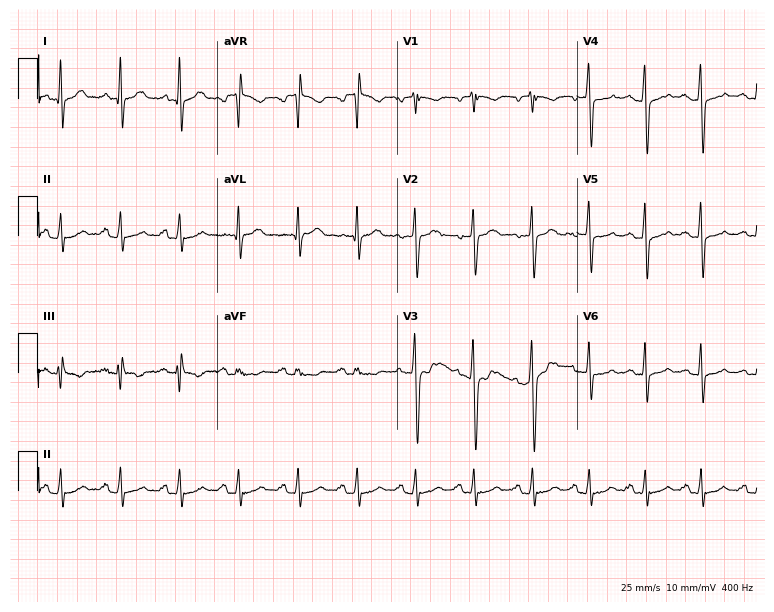
Resting 12-lead electrocardiogram. Patient: a man, 39 years old. None of these six findings is recorded: first-degree AV block, right bundle branch block (RBBB), left bundle branch block (LBBB), sinus bradycardia, atrial fibrillation (AF), sinus tachycardia.